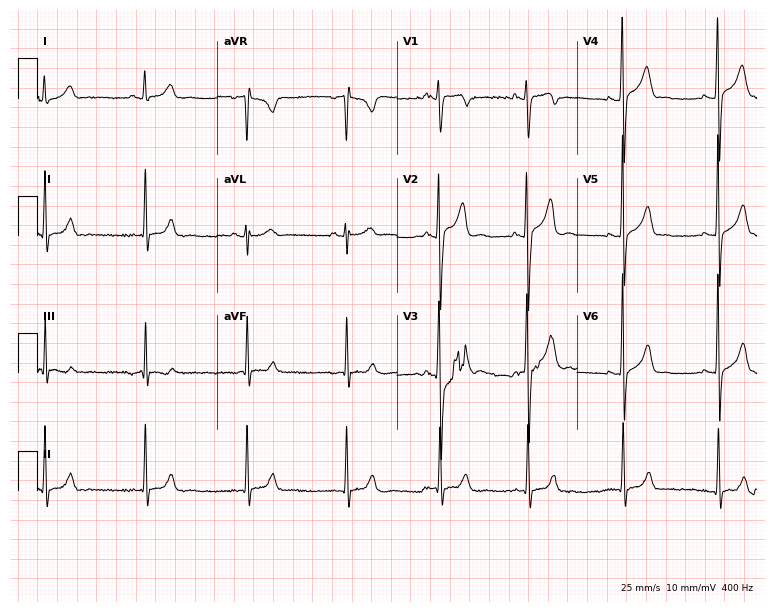
Standard 12-lead ECG recorded from a male, 20 years old (7.3-second recording at 400 Hz). None of these six findings is recorded: first-degree AV block, right bundle branch block (RBBB), left bundle branch block (LBBB), sinus bradycardia, atrial fibrillation (AF), sinus tachycardia.